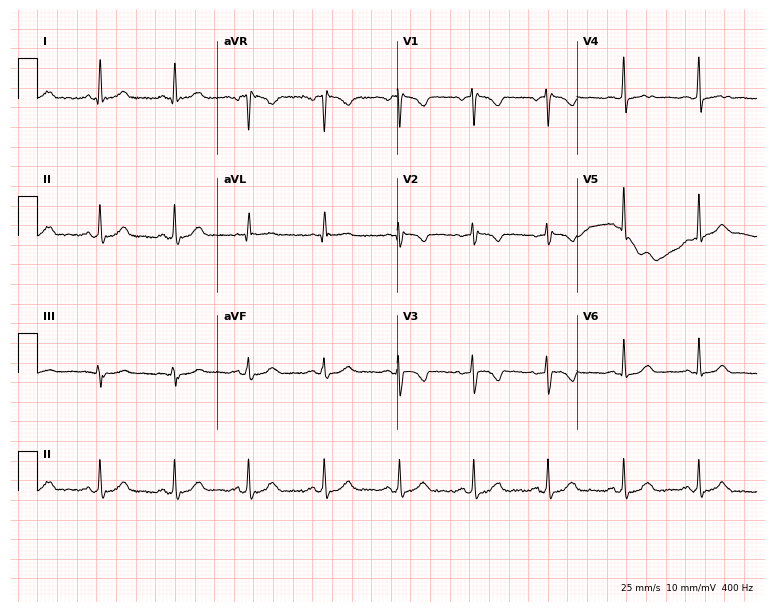
Resting 12-lead electrocardiogram. Patient: a female, 49 years old. None of these six findings is recorded: first-degree AV block, right bundle branch block (RBBB), left bundle branch block (LBBB), sinus bradycardia, atrial fibrillation (AF), sinus tachycardia. Only these six findings were labelled.